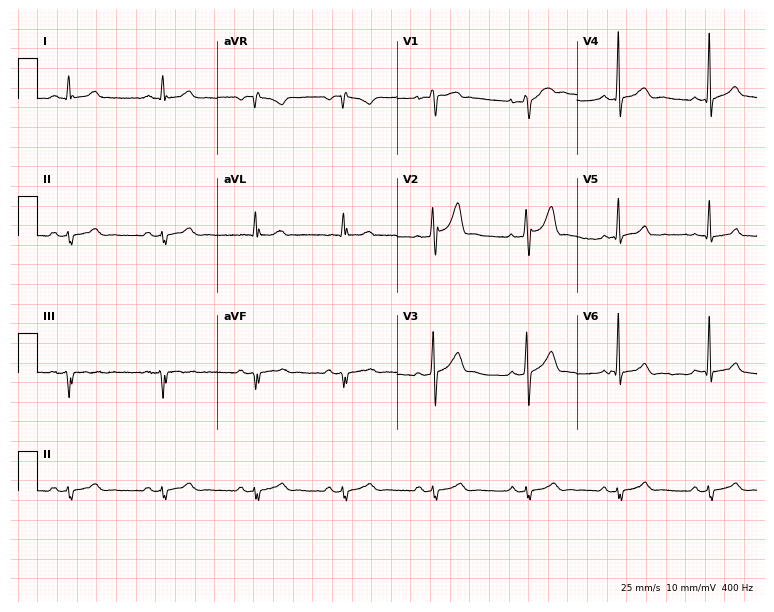
12-lead ECG from a 32-year-old male patient (7.3-second recording at 400 Hz). No first-degree AV block, right bundle branch block, left bundle branch block, sinus bradycardia, atrial fibrillation or sinus tachycardia recorded for this tracing.